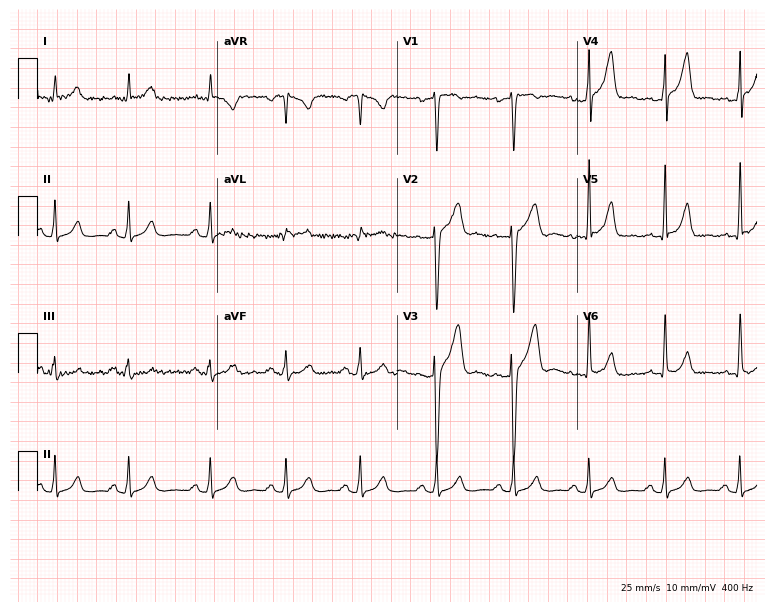
12-lead ECG from a man, 37 years old (7.3-second recording at 400 Hz). No first-degree AV block, right bundle branch block (RBBB), left bundle branch block (LBBB), sinus bradycardia, atrial fibrillation (AF) or sinus tachycardia recorded for this tracing.